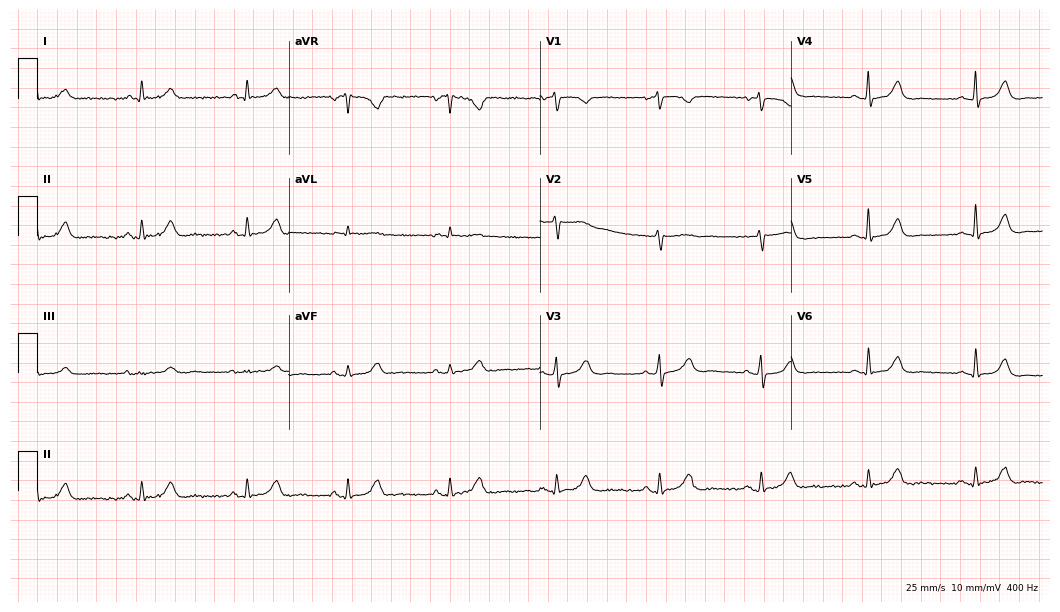
12-lead ECG (10.2-second recording at 400 Hz) from a woman, 61 years old. Labelled as a normal ECG.